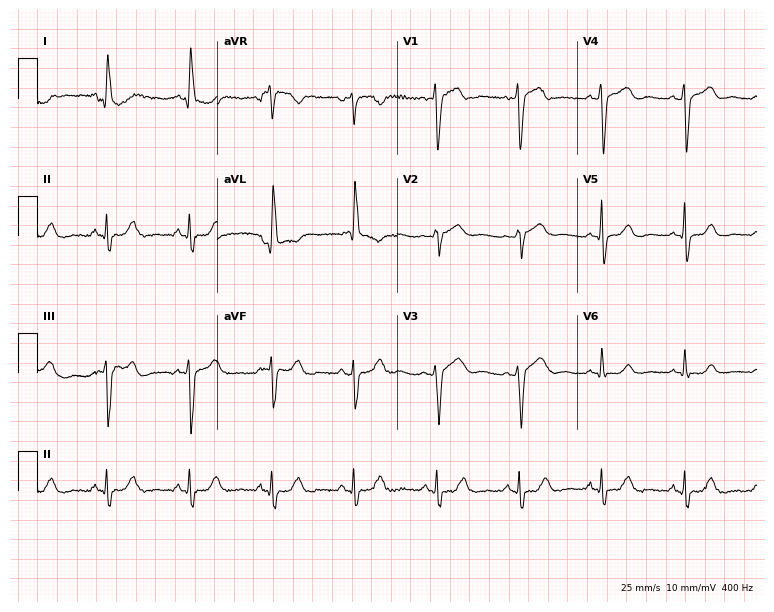
12-lead ECG from a 60-year-old woman (7.3-second recording at 400 Hz). No first-degree AV block, right bundle branch block (RBBB), left bundle branch block (LBBB), sinus bradycardia, atrial fibrillation (AF) or sinus tachycardia recorded for this tracing.